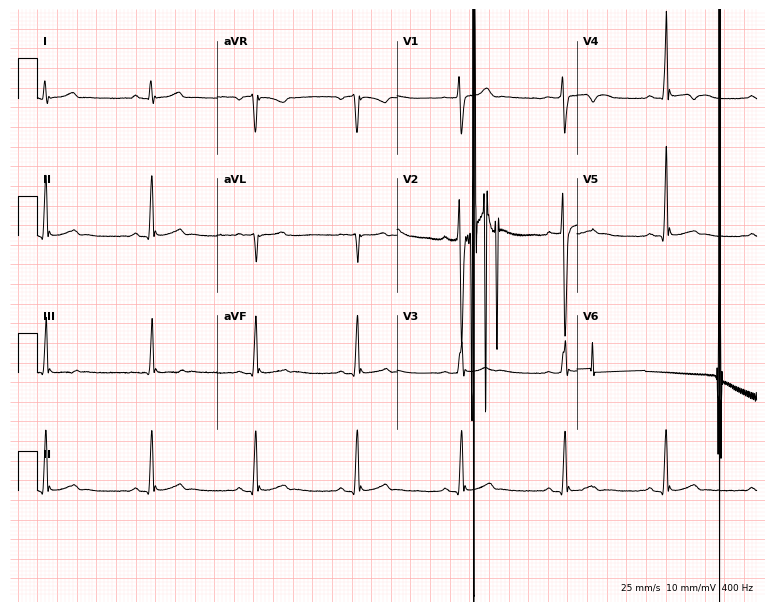
ECG (7.3-second recording at 400 Hz) — an 18-year-old male patient. Screened for six findings — first-degree AV block, right bundle branch block, left bundle branch block, sinus bradycardia, atrial fibrillation, sinus tachycardia — none is recorded. Other findings, if any, are not listed.